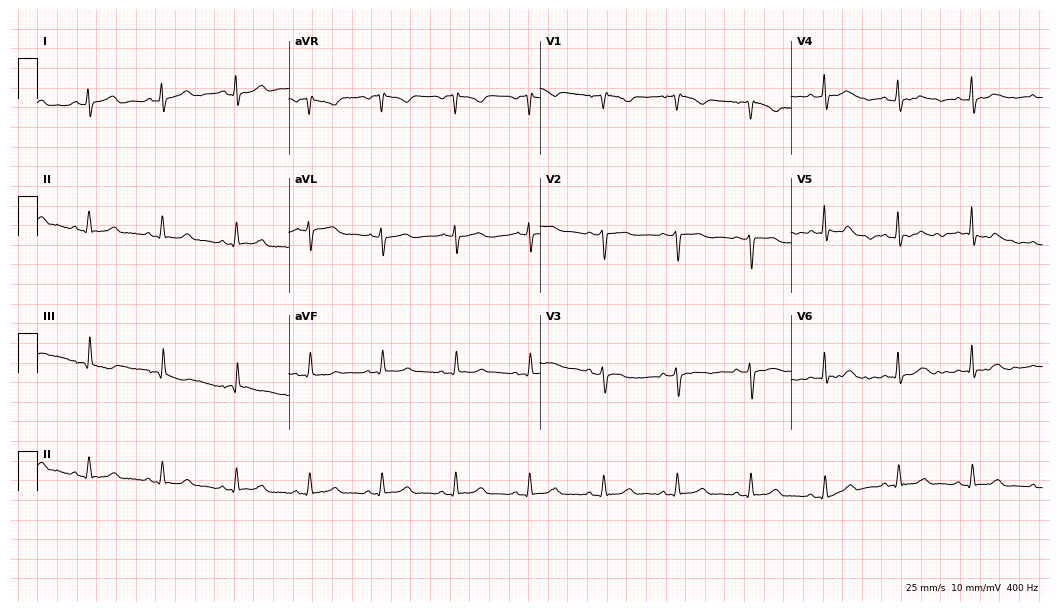
Resting 12-lead electrocardiogram. Patient: a female, 70 years old. None of these six findings is recorded: first-degree AV block, right bundle branch block, left bundle branch block, sinus bradycardia, atrial fibrillation, sinus tachycardia.